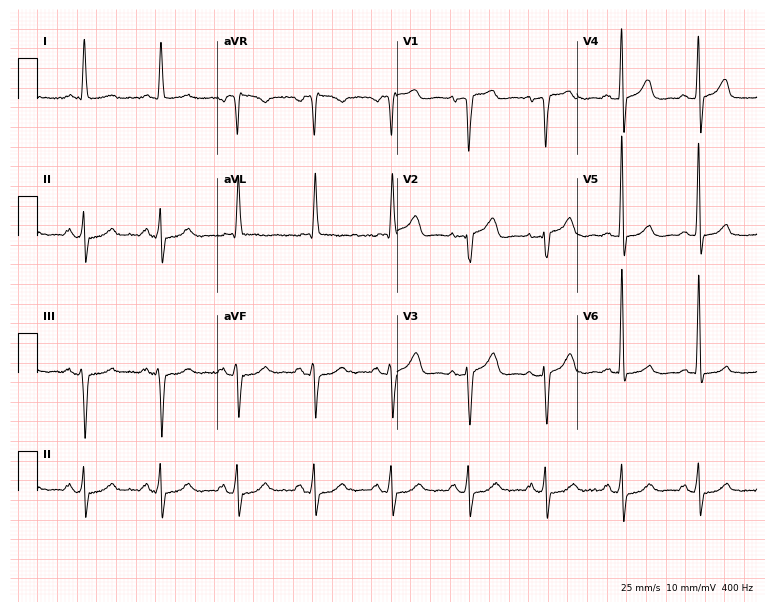
ECG — a woman, 80 years old. Screened for six findings — first-degree AV block, right bundle branch block, left bundle branch block, sinus bradycardia, atrial fibrillation, sinus tachycardia — none is recorded.